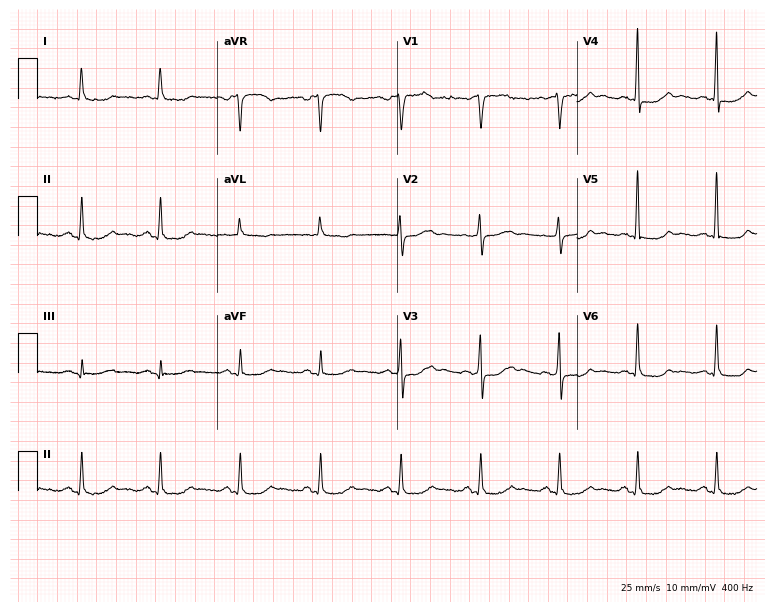
Standard 12-lead ECG recorded from a 66-year-old female (7.3-second recording at 400 Hz). None of these six findings is recorded: first-degree AV block, right bundle branch block, left bundle branch block, sinus bradycardia, atrial fibrillation, sinus tachycardia. Findings outside these six are not listed.